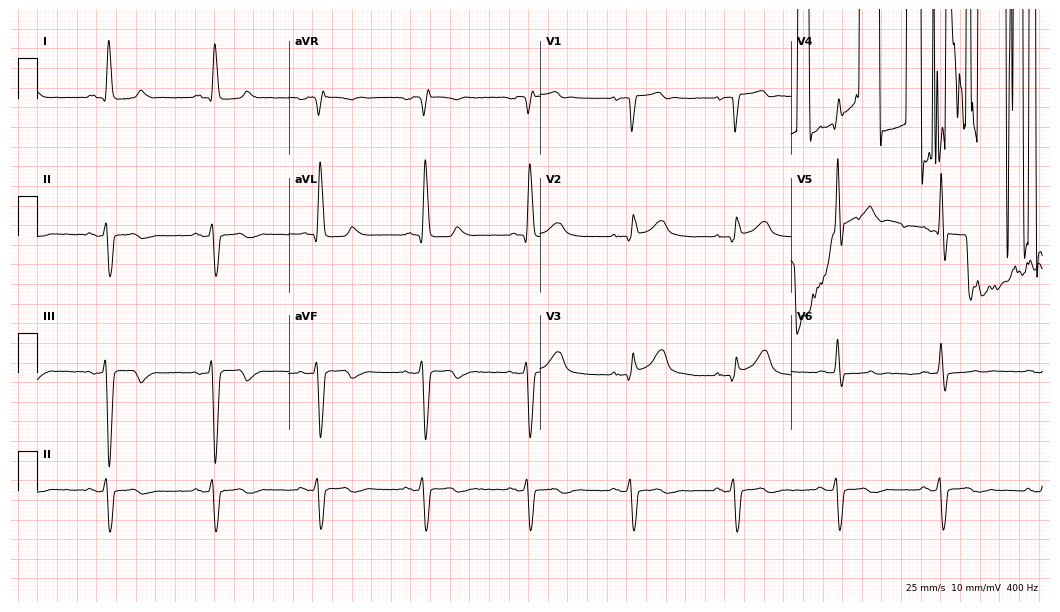
Standard 12-lead ECG recorded from a male, 75 years old (10.2-second recording at 400 Hz). None of these six findings is recorded: first-degree AV block, right bundle branch block (RBBB), left bundle branch block (LBBB), sinus bradycardia, atrial fibrillation (AF), sinus tachycardia. Only these six findings were labelled.